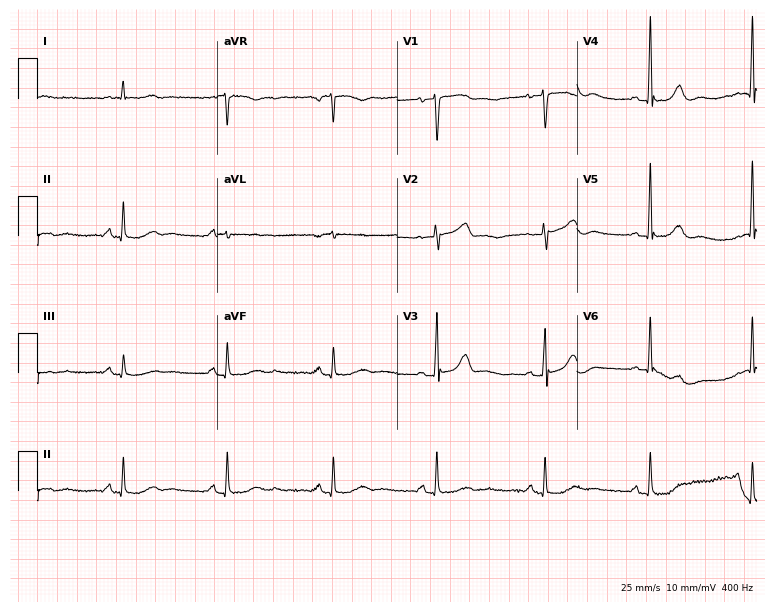
ECG (7.3-second recording at 400 Hz) — a female, 74 years old. Screened for six findings — first-degree AV block, right bundle branch block, left bundle branch block, sinus bradycardia, atrial fibrillation, sinus tachycardia — none is recorded.